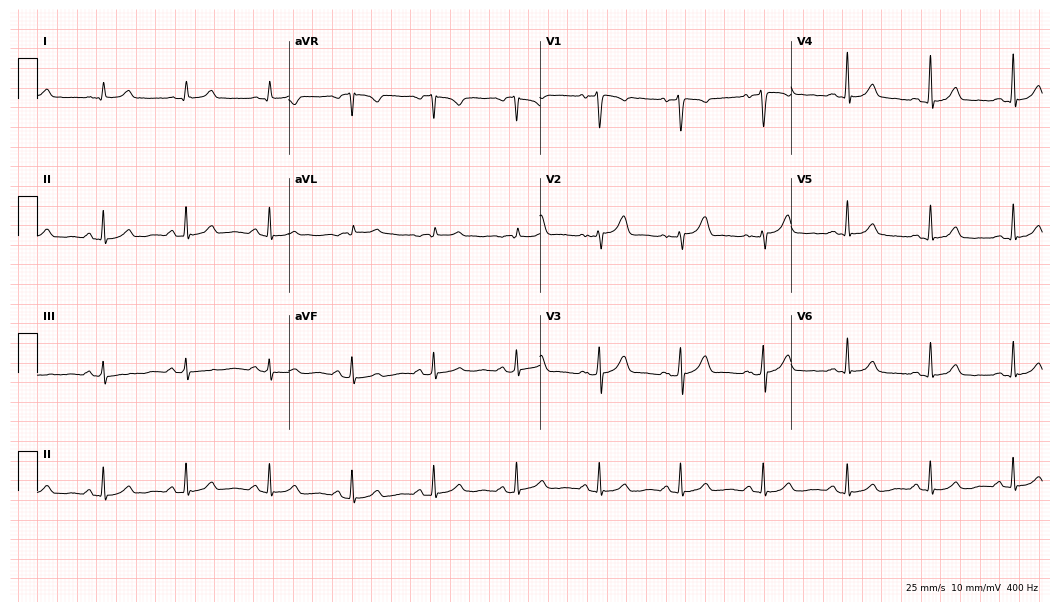
Electrocardiogram, a female, 45 years old. Overall reading on record: normal ECG.